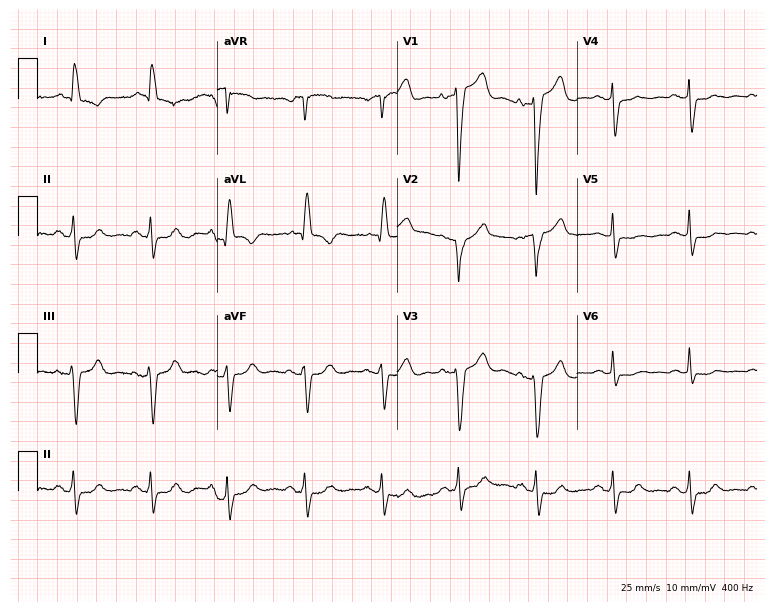
12-lead ECG from an 80-year-old female patient. Findings include left bundle branch block.